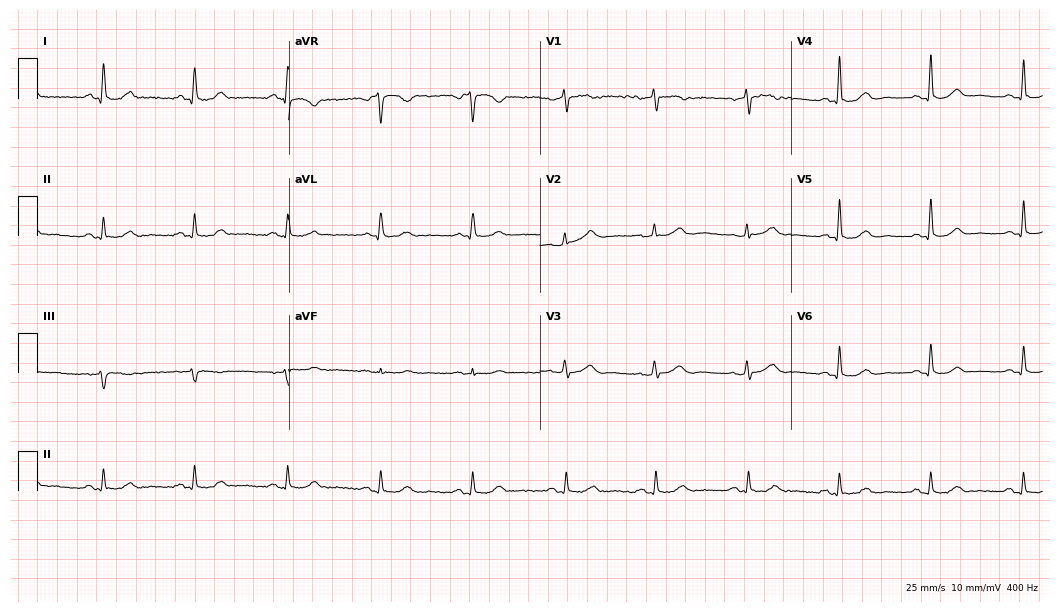
Standard 12-lead ECG recorded from a female, 61 years old. None of these six findings is recorded: first-degree AV block, right bundle branch block, left bundle branch block, sinus bradycardia, atrial fibrillation, sinus tachycardia. Other findings, if any, are not listed.